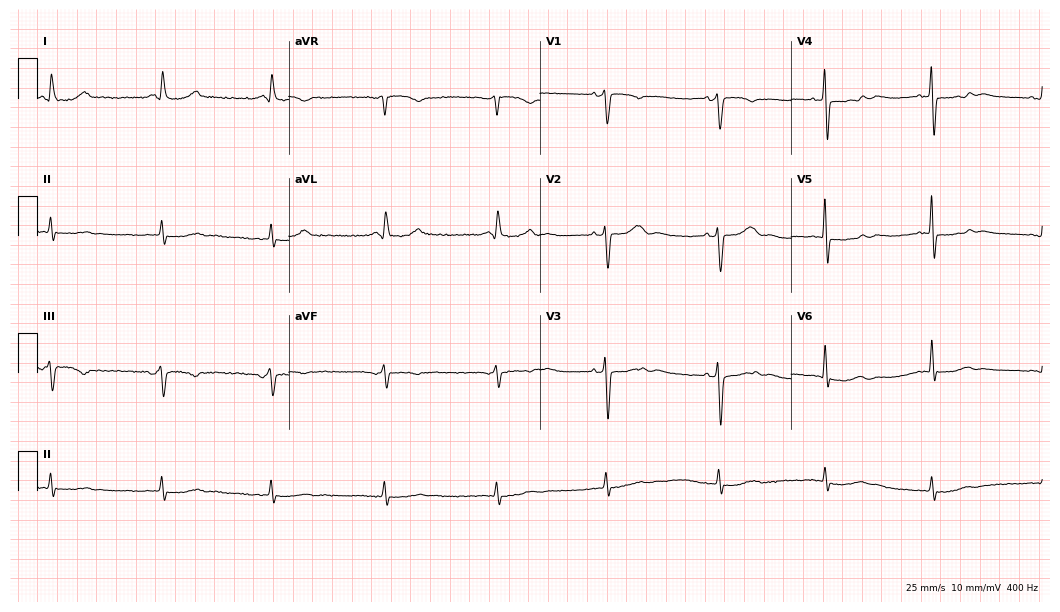
12-lead ECG from a female patient, 67 years old. Recorded interpretation: within normal limits.